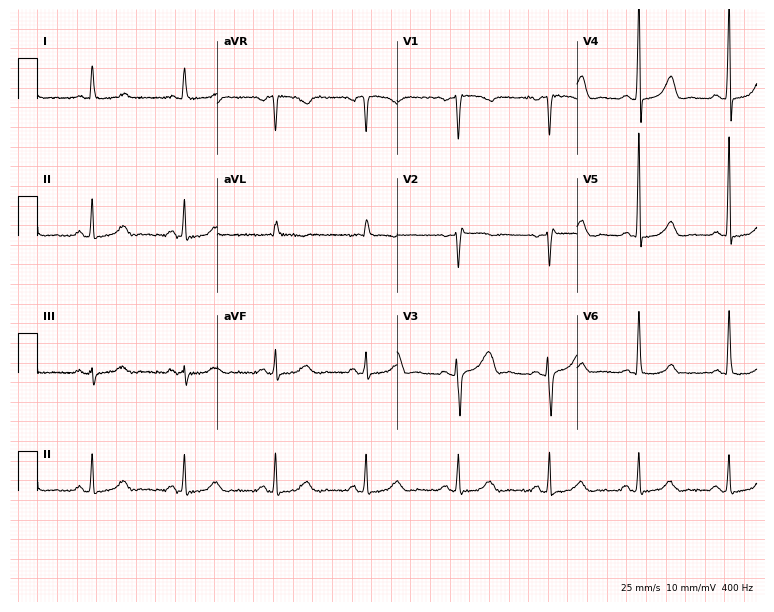
Standard 12-lead ECG recorded from a woman, 55 years old. Read as a normal ECG.